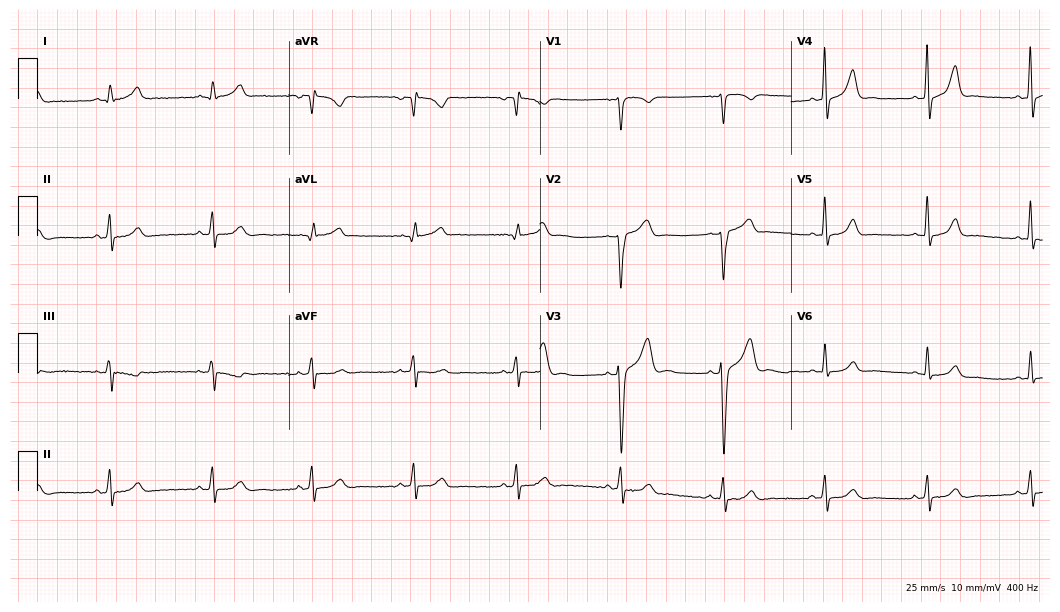
ECG (10.2-second recording at 400 Hz) — a man, 45 years old. Screened for six findings — first-degree AV block, right bundle branch block, left bundle branch block, sinus bradycardia, atrial fibrillation, sinus tachycardia — none is recorded.